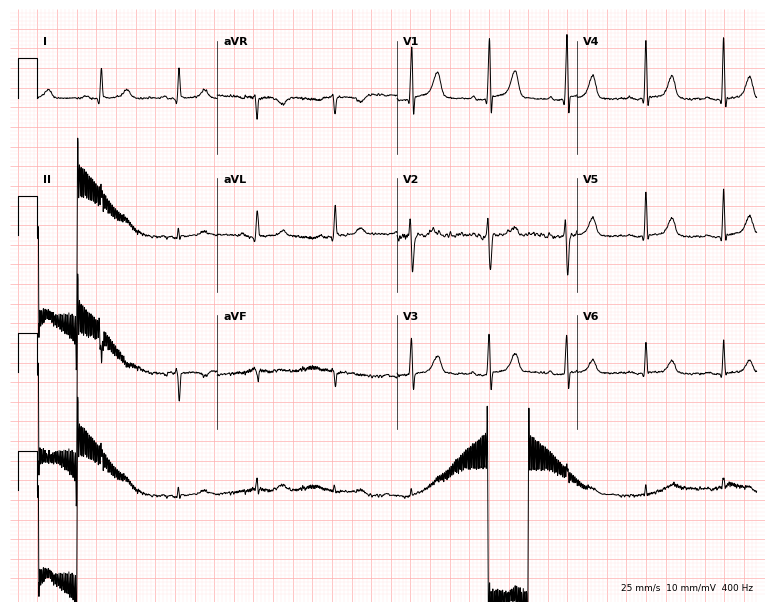
Resting 12-lead electrocardiogram. Patient: an 84-year-old woman. None of these six findings is recorded: first-degree AV block, right bundle branch block (RBBB), left bundle branch block (LBBB), sinus bradycardia, atrial fibrillation (AF), sinus tachycardia. Findings outside these six are not listed.